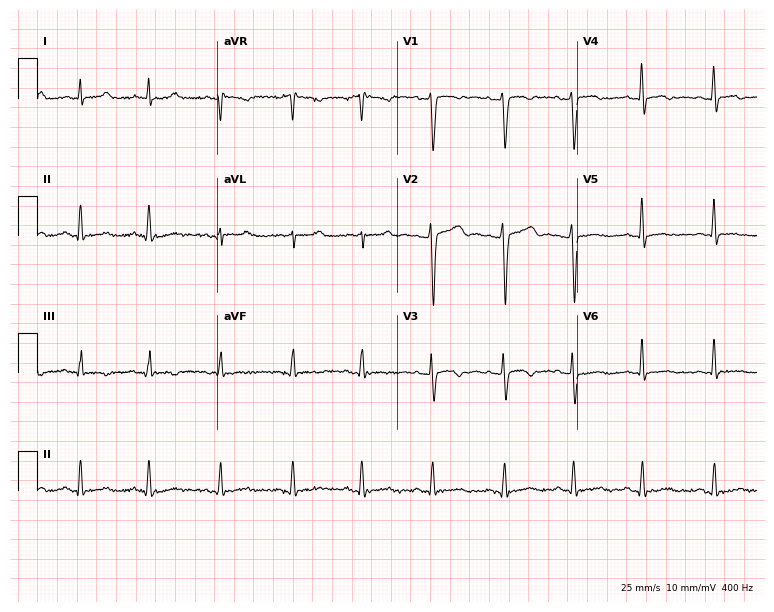
12-lead ECG (7.3-second recording at 400 Hz) from a 19-year-old woman. Screened for six findings — first-degree AV block, right bundle branch block, left bundle branch block, sinus bradycardia, atrial fibrillation, sinus tachycardia — none is recorded.